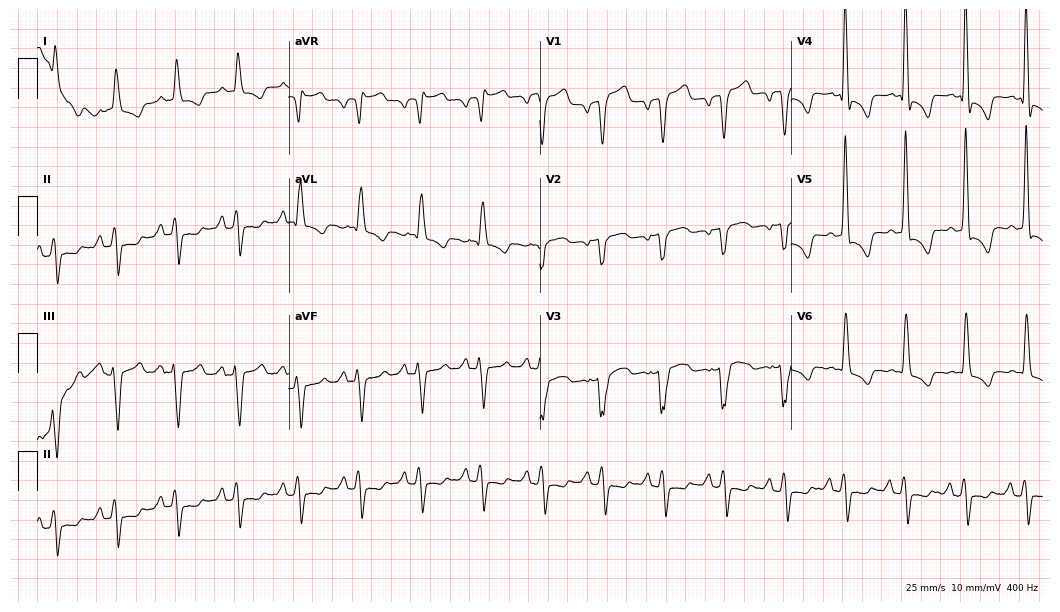
12-lead ECG from a man, 60 years old. No first-degree AV block, right bundle branch block, left bundle branch block, sinus bradycardia, atrial fibrillation or sinus tachycardia recorded for this tracing. Only these six findings were labelled.